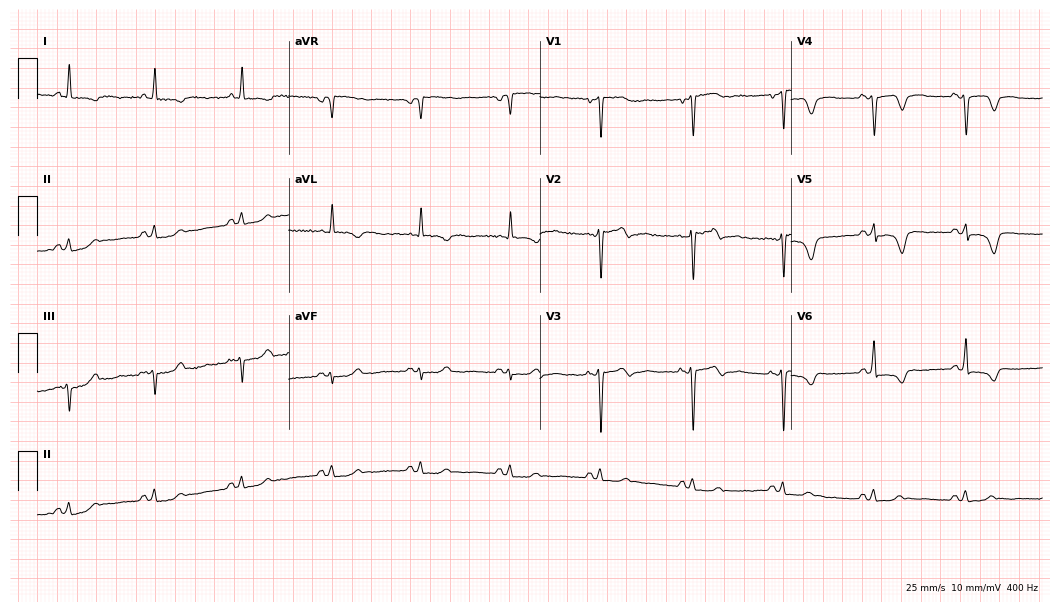
12-lead ECG from a 77-year-old woman. No first-degree AV block, right bundle branch block, left bundle branch block, sinus bradycardia, atrial fibrillation or sinus tachycardia recorded for this tracing.